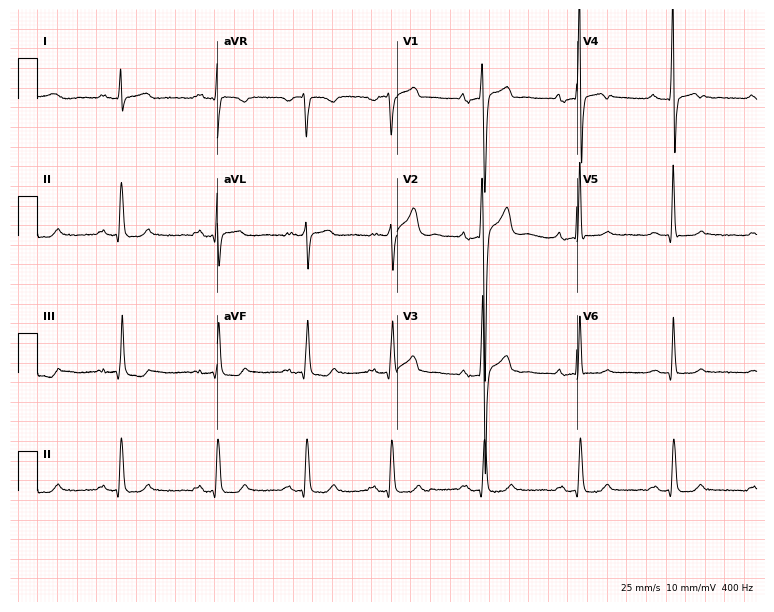
12-lead ECG from a 43-year-old man (7.3-second recording at 400 Hz). Recorded interpretation: within normal limits.